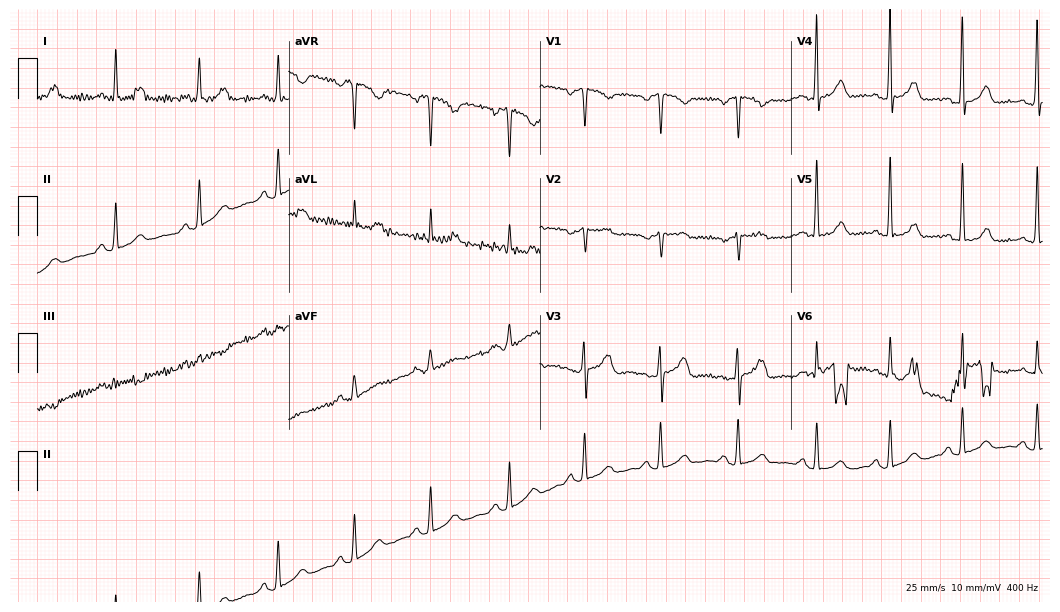
12-lead ECG from a female, 52 years old. Labelled as a normal ECG.